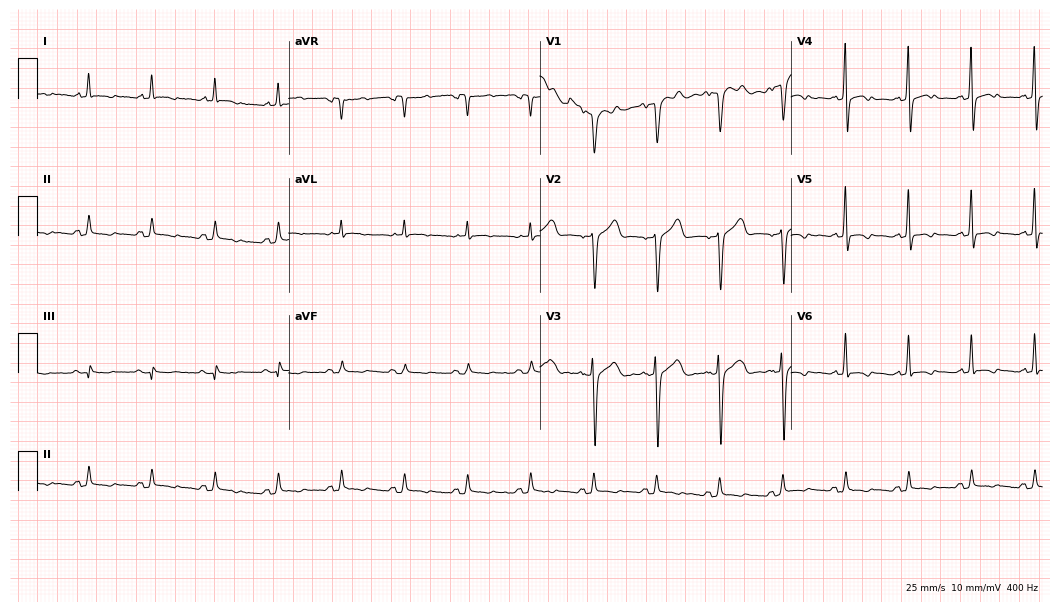
Resting 12-lead electrocardiogram. Patient: a male, 77 years old. None of these six findings is recorded: first-degree AV block, right bundle branch block, left bundle branch block, sinus bradycardia, atrial fibrillation, sinus tachycardia.